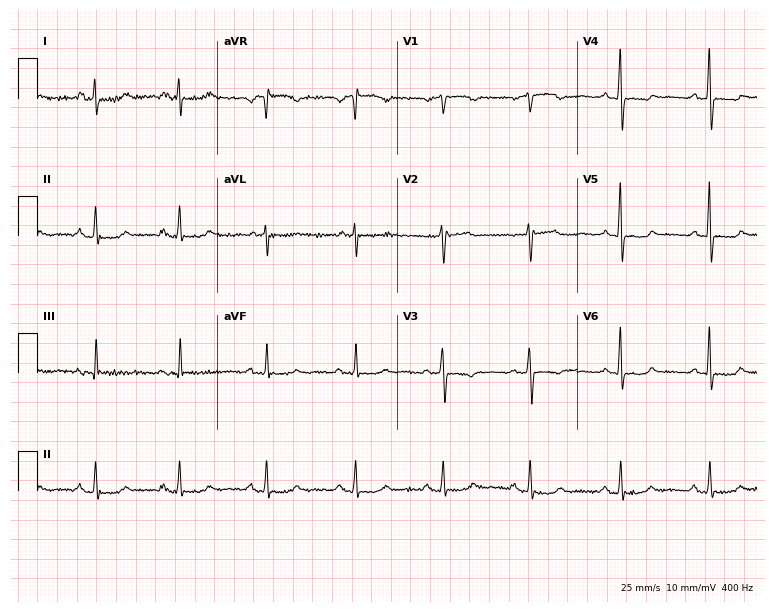
12-lead ECG (7.3-second recording at 400 Hz) from a female patient, 53 years old. Screened for six findings — first-degree AV block, right bundle branch block (RBBB), left bundle branch block (LBBB), sinus bradycardia, atrial fibrillation (AF), sinus tachycardia — none is recorded.